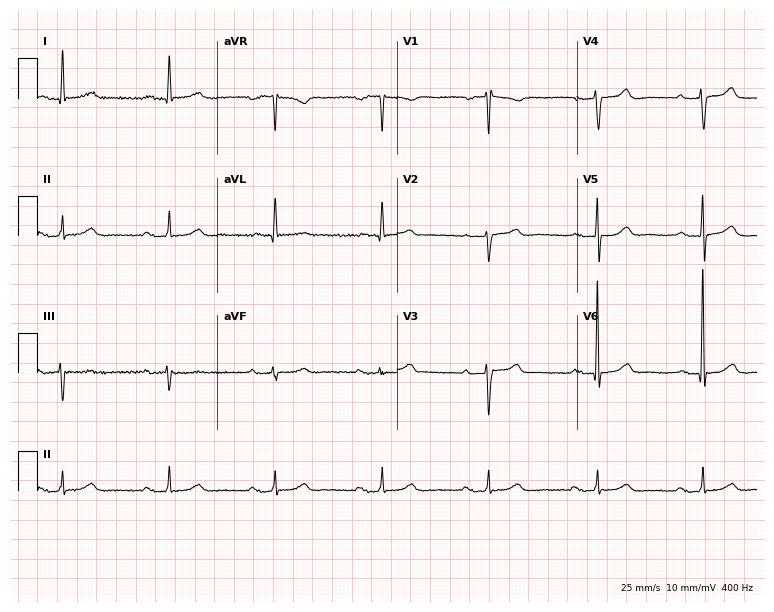
Standard 12-lead ECG recorded from a 71-year-old man. The tracing shows first-degree AV block.